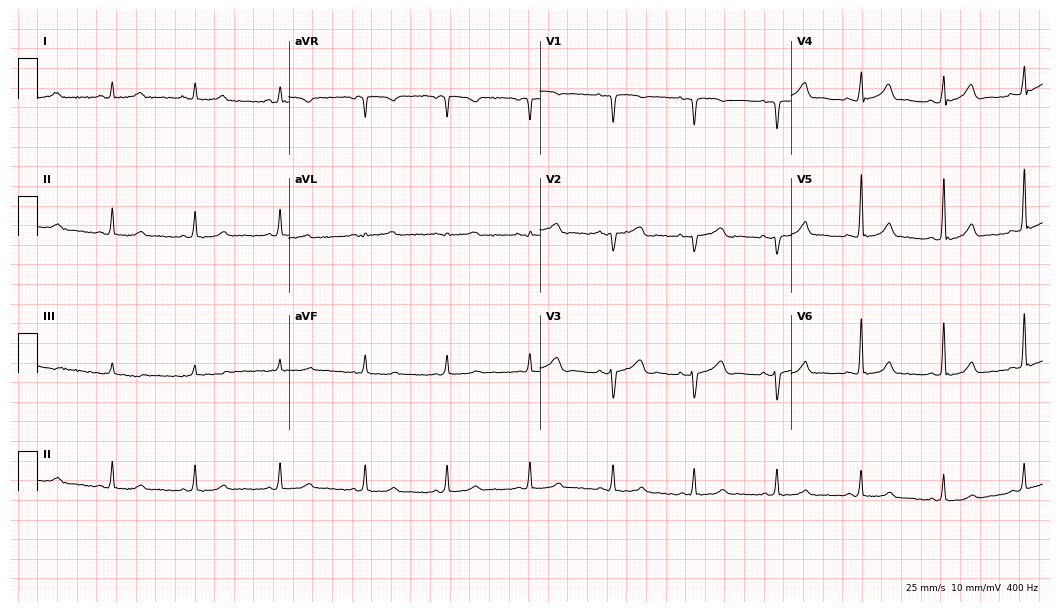
Electrocardiogram, a 33-year-old woman. Overall reading on record: normal ECG.